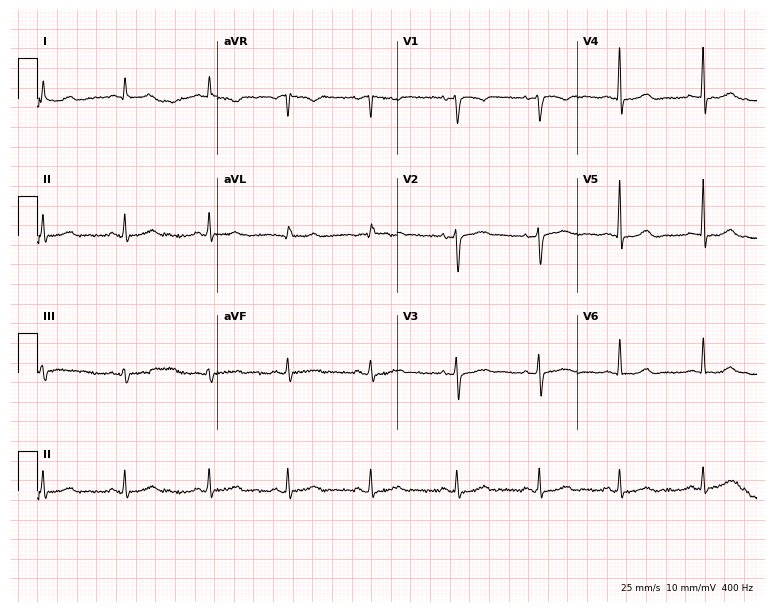
ECG (7.3-second recording at 400 Hz) — a 48-year-old female. Screened for six findings — first-degree AV block, right bundle branch block, left bundle branch block, sinus bradycardia, atrial fibrillation, sinus tachycardia — none is recorded.